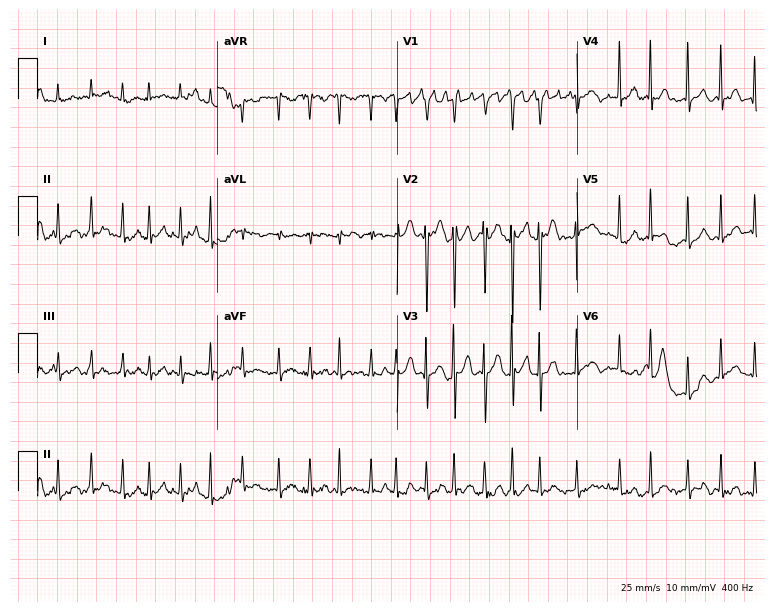
12-lead ECG (7.3-second recording at 400 Hz) from a female, 82 years old. Findings include atrial fibrillation.